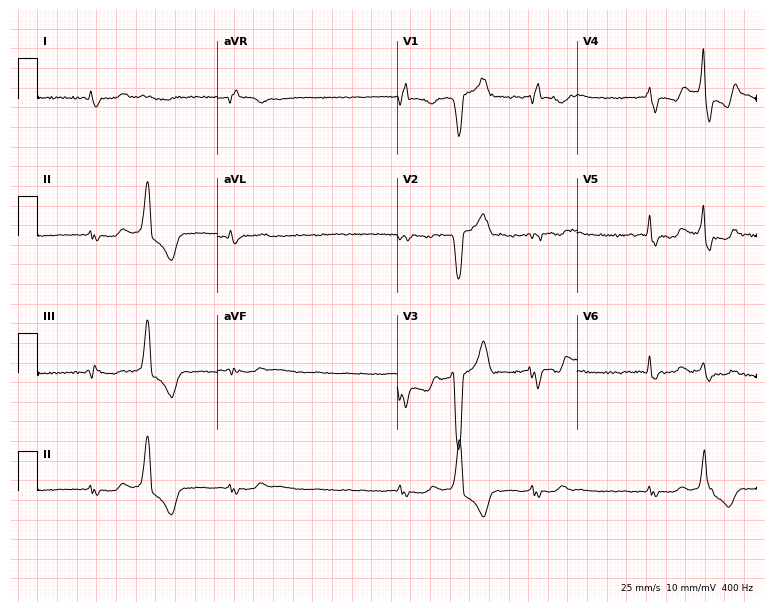
Resting 12-lead electrocardiogram (7.3-second recording at 400 Hz). Patient: an 83-year-old man. The tracing shows right bundle branch block, atrial fibrillation.